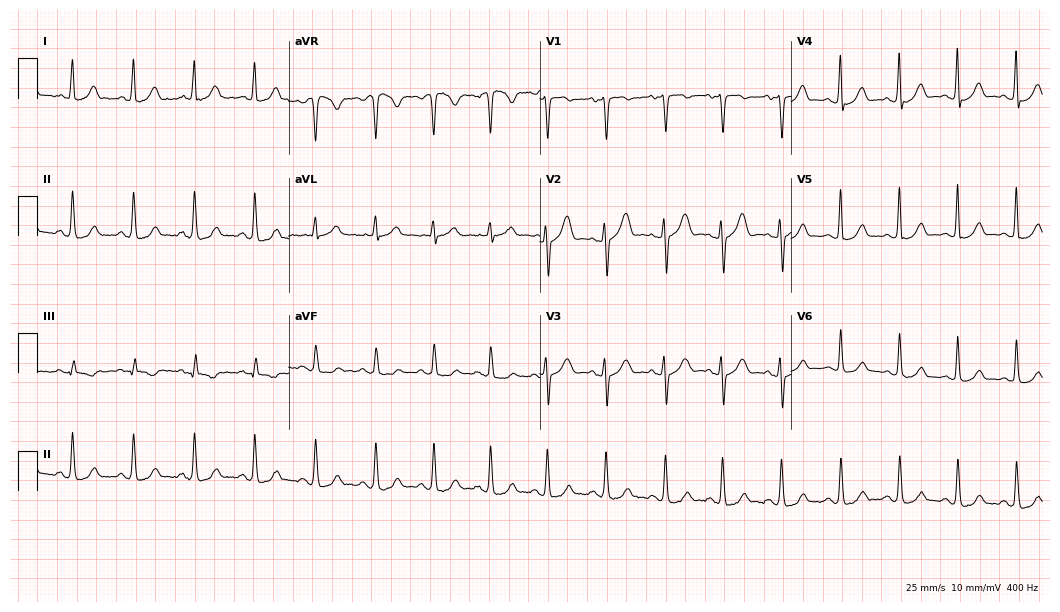
Standard 12-lead ECG recorded from a 42-year-old female. Read as a normal ECG.